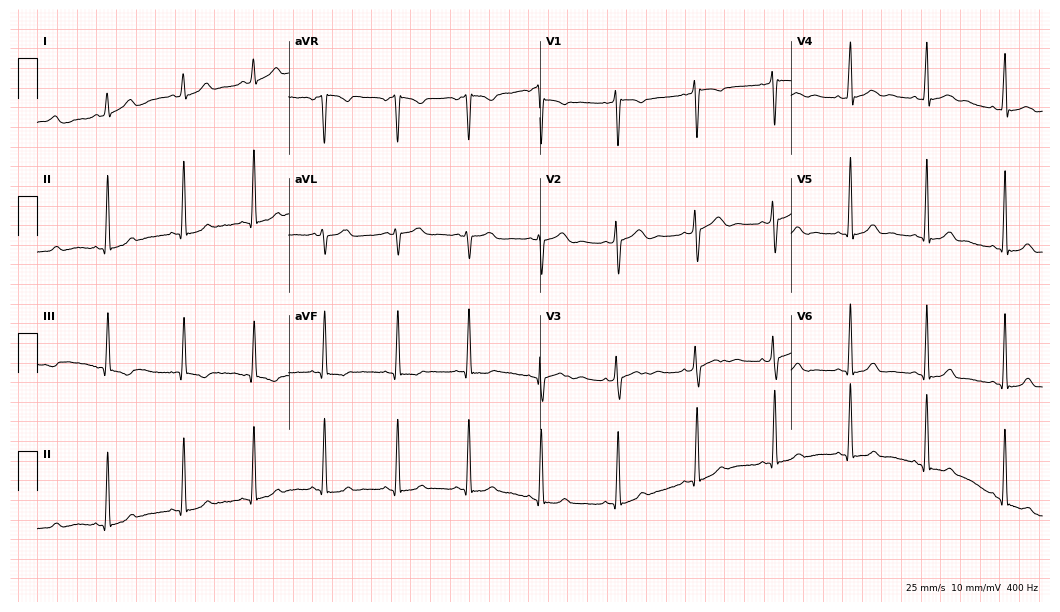
Resting 12-lead electrocardiogram (10.2-second recording at 400 Hz). Patient: a 26-year-old woman. Read as a normal ECG.